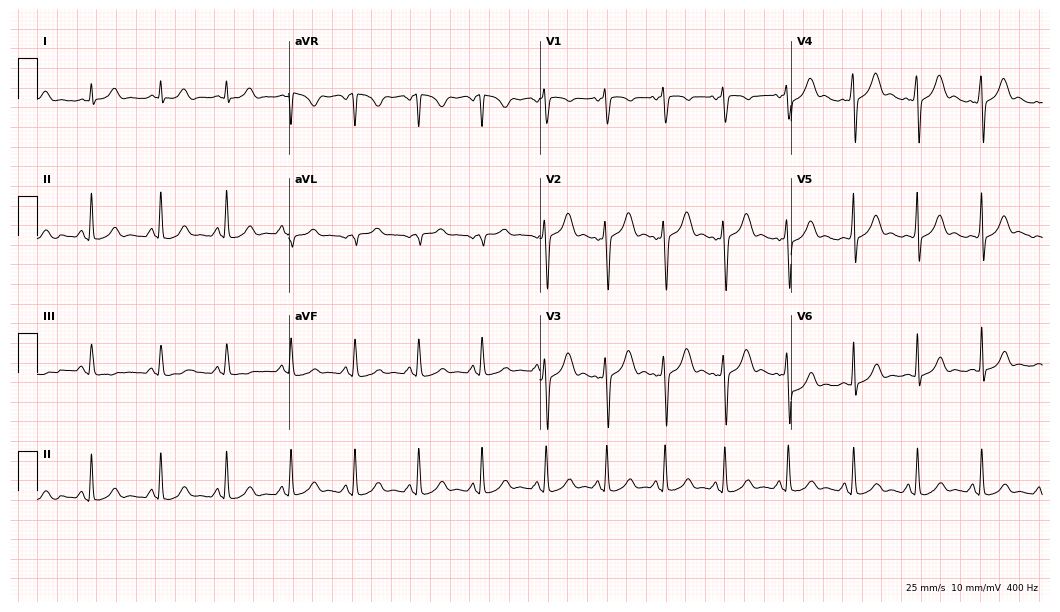
Resting 12-lead electrocardiogram (10.2-second recording at 400 Hz). Patient: a 22-year-old female. Read as a normal ECG.